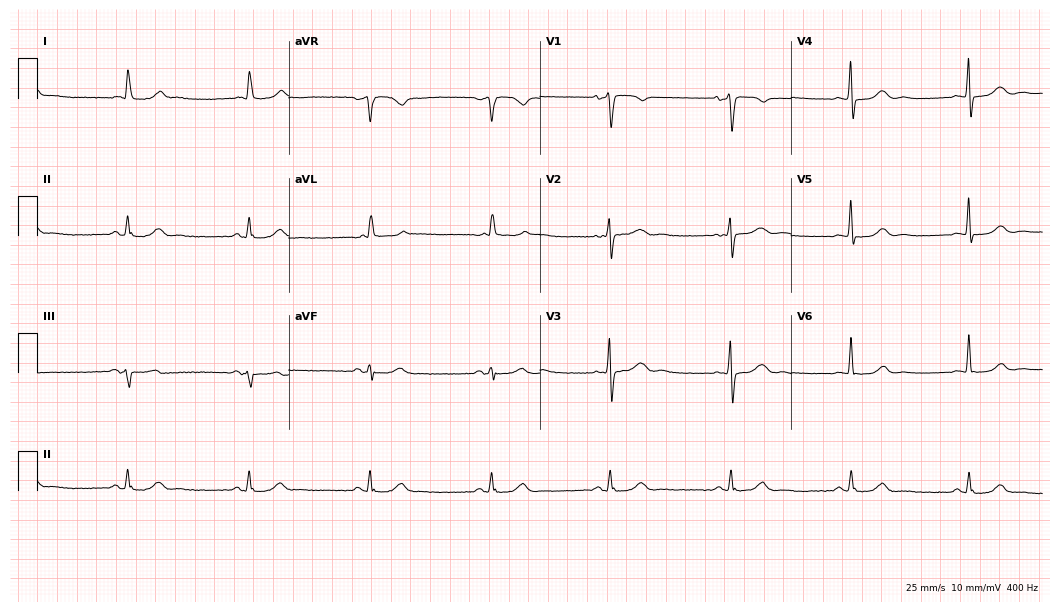
12-lead ECG from a 75-year-old woman. Screened for six findings — first-degree AV block, right bundle branch block, left bundle branch block, sinus bradycardia, atrial fibrillation, sinus tachycardia — none is recorded. Other findings, if any, are not listed.